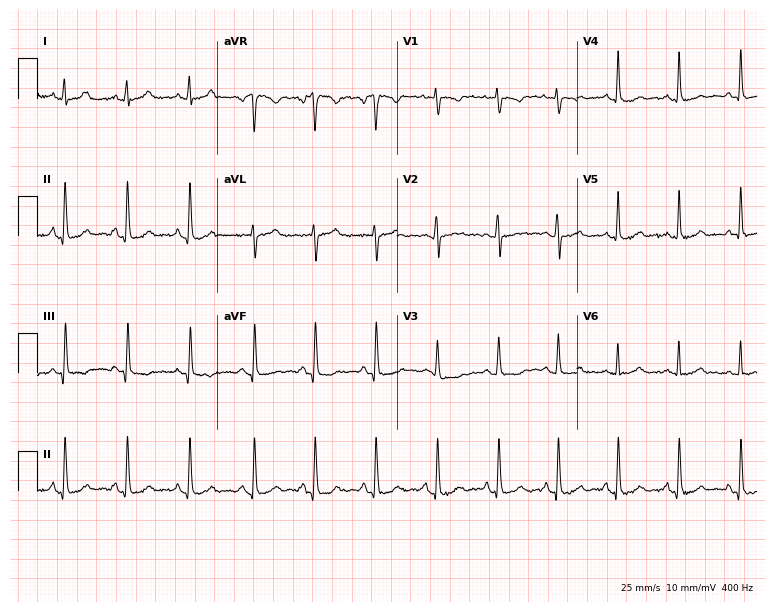
12-lead ECG from a 20-year-old woman (7.3-second recording at 400 Hz). No first-degree AV block, right bundle branch block (RBBB), left bundle branch block (LBBB), sinus bradycardia, atrial fibrillation (AF) or sinus tachycardia recorded for this tracing.